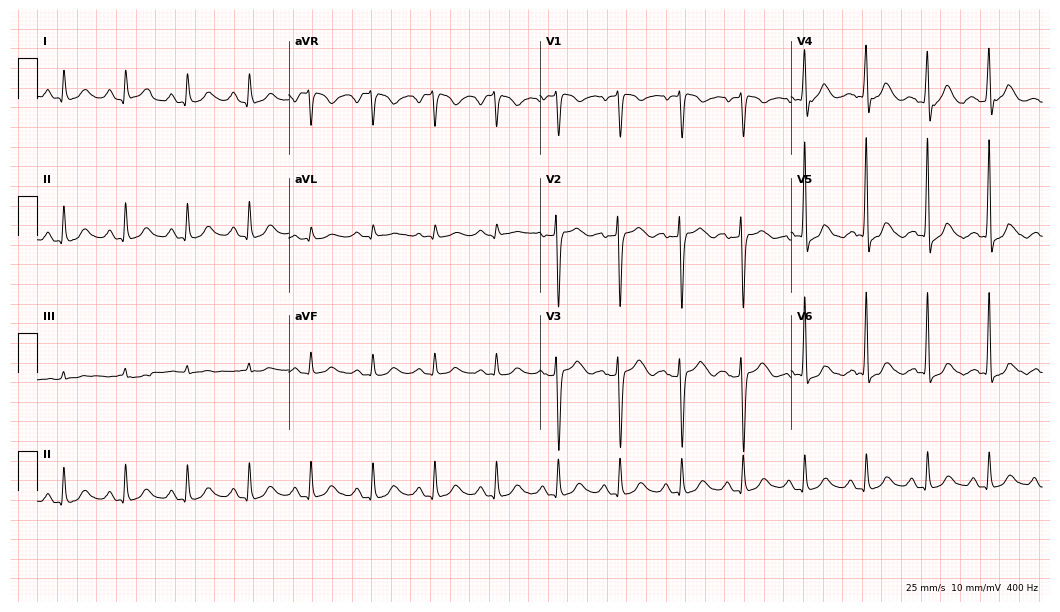
Standard 12-lead ECG recorded from a male, 85 years old. Read as a normal ECG.